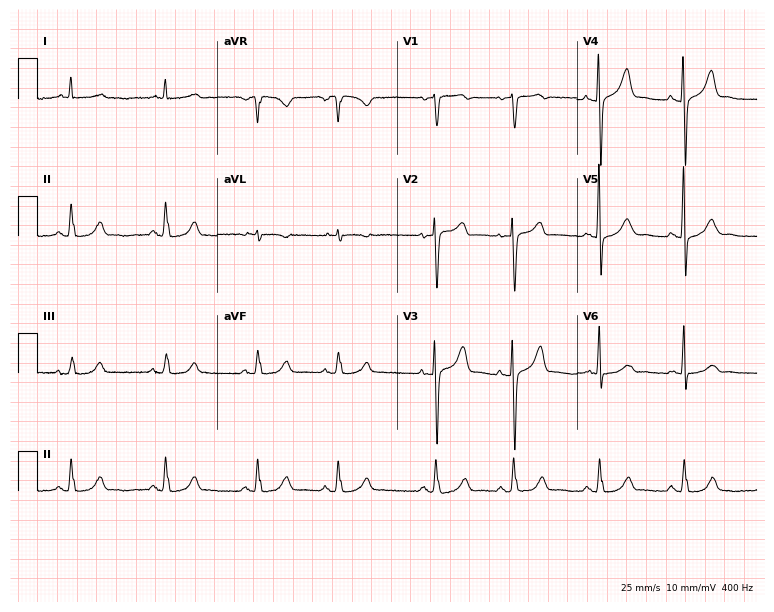
Standard 12-lead ECG recorded from an 83-year-old female. Read as a normal ECG.